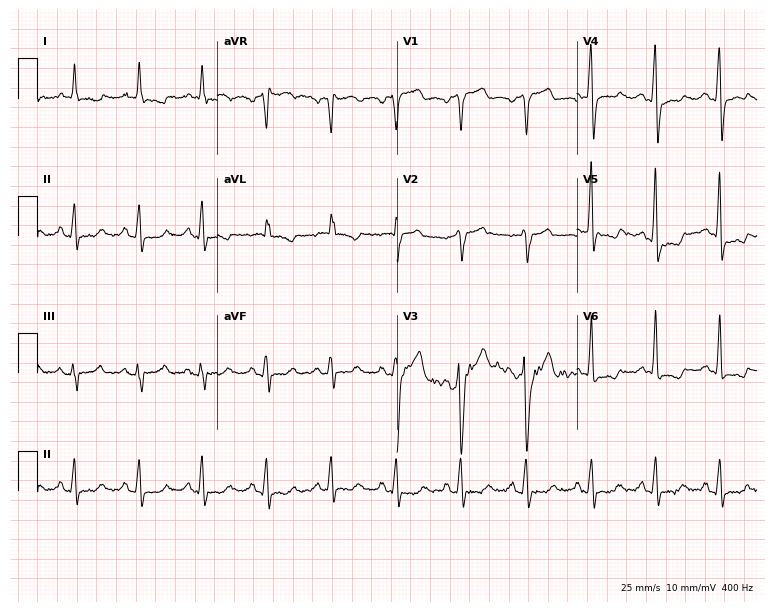
12-lead ECG from a 32-year-old female patient. Screened for six findings — first-degree AV block, right bundle branch block (RBBB), left bundle branch block (LBBB), sinus bradycardia, atrial fibrillation (AF), sinus tachycardia — none is recorded.